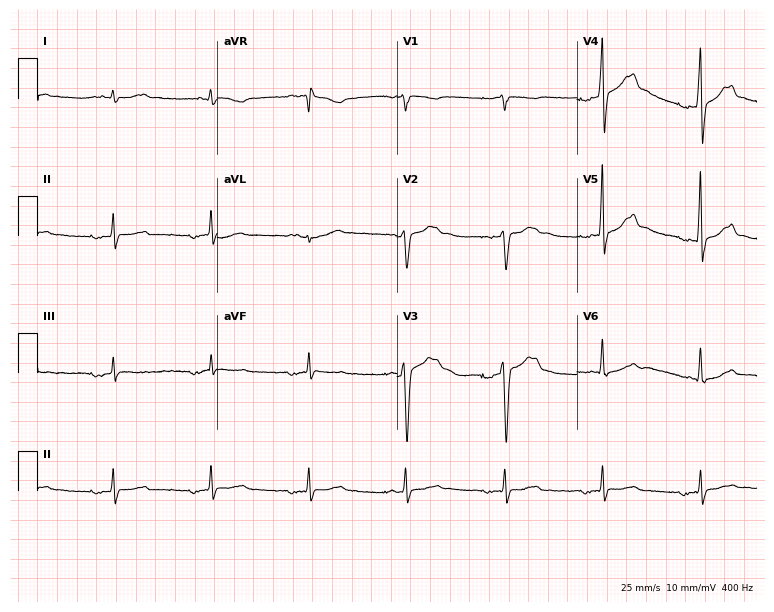
Electrocardiogram, a 61-year-old man. Of the six screened findings (first-degree AV block, right bundle branch block, left bundle branch block, sinus bradycardia, atrial fibrillation, sinus tachycardia), none is recorded.